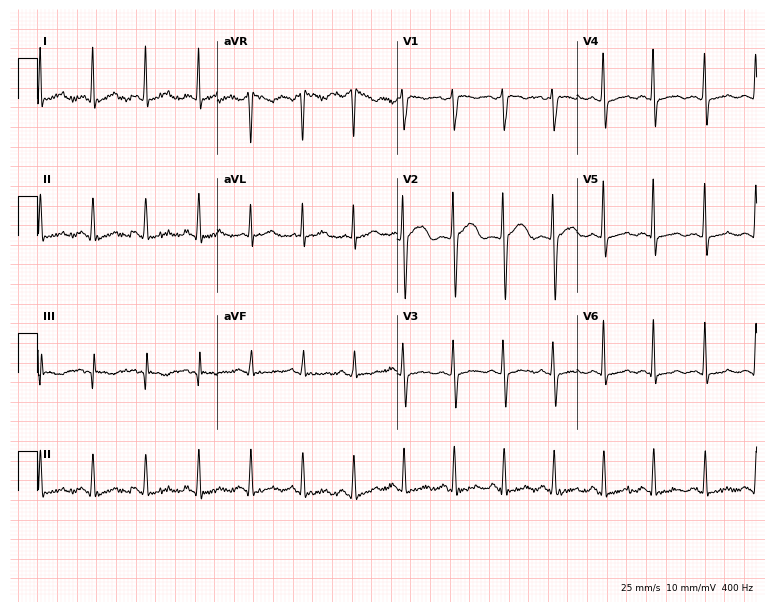
12-lead ECG from a 25-year-old female (7.3-second recording at 400 Hz). No first-degree AV block, right bundle branch block, left bundle branch block, sinus bradycardia, atrial fibrillation or sinus tachycardia recorded for this tracing. Only these six findings were labelled.